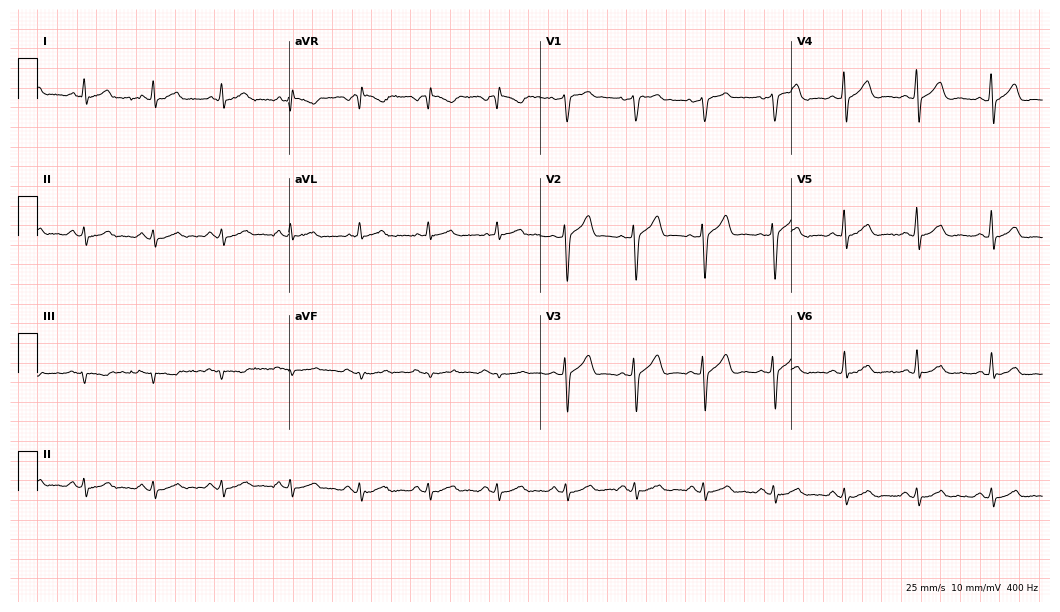
12-lead ECG from a man, 54 years old. Recorded interpretation: within normal limits.